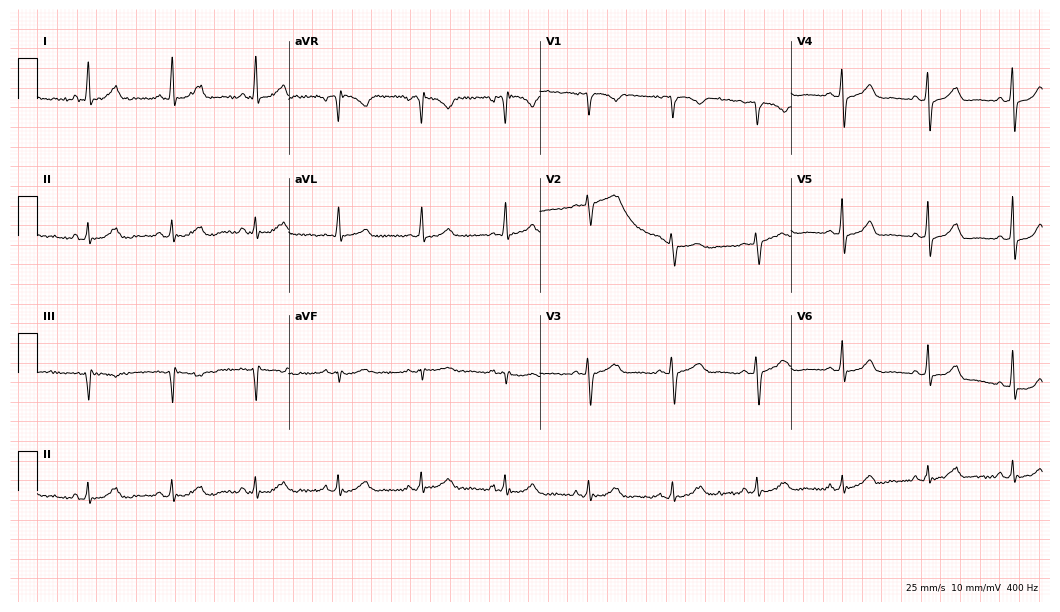
12-lead ECG (10.2-second recording at 400 Hz) from a 68-year-old female. Labelled as a normal ECG.